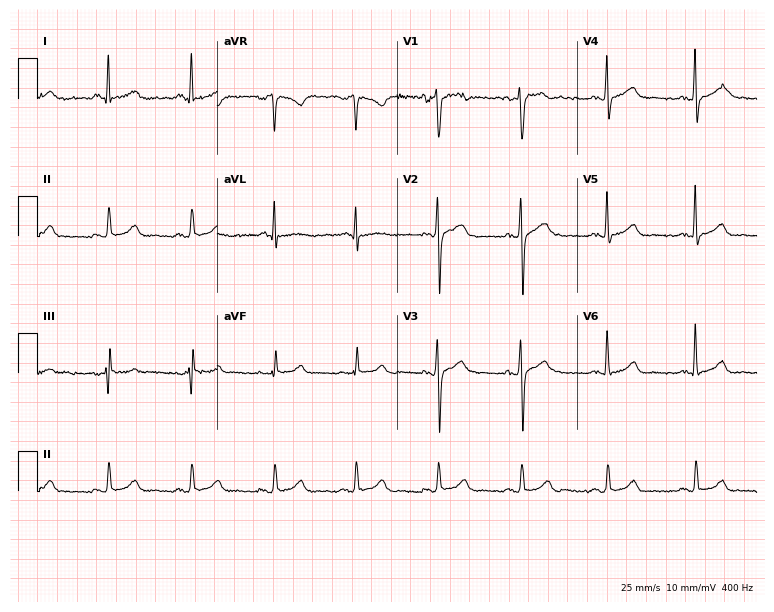
Electrocardiogram, a 47-year-old man. Overall reading on record: normal ECG.